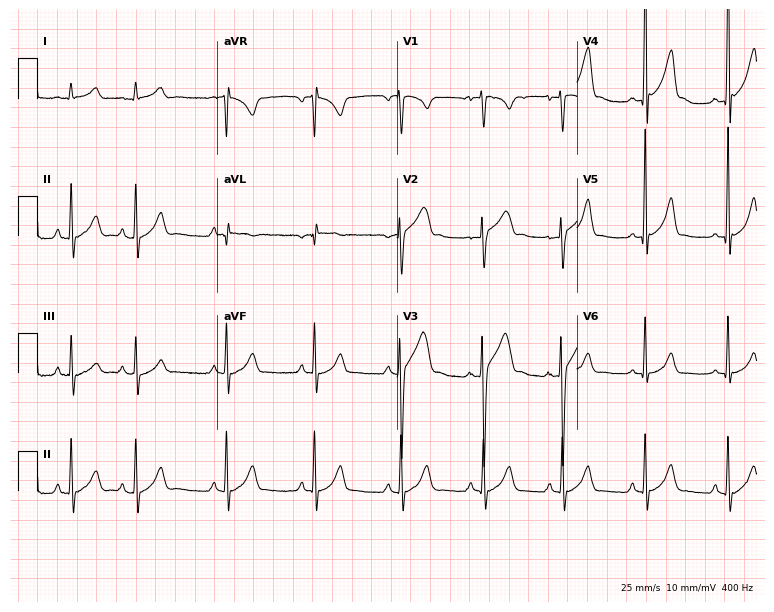
Standard 12-lead ECG recorded from a man, 24 years old (7.3-second recording at 400 Hz). Read as a normal ECG.